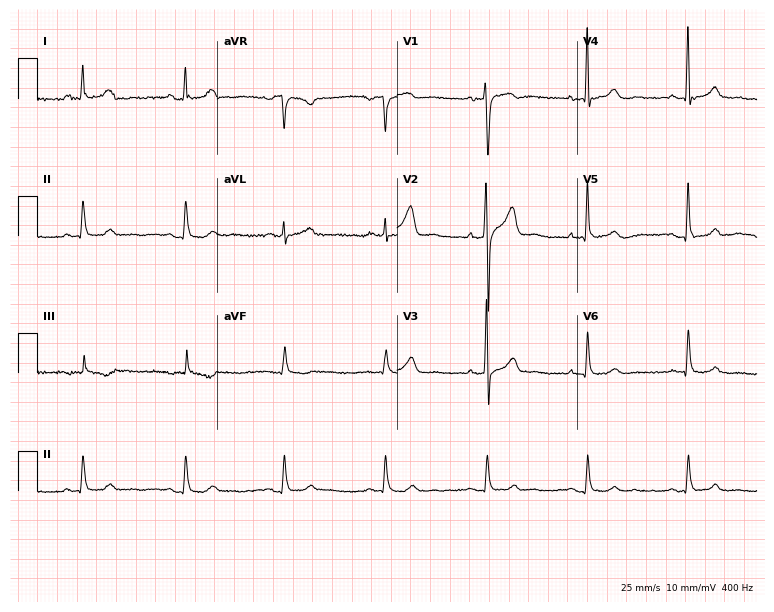
Resting 12-lead electrocardiogram. Patient: a 51-year-old man. Read as a normal ECG.